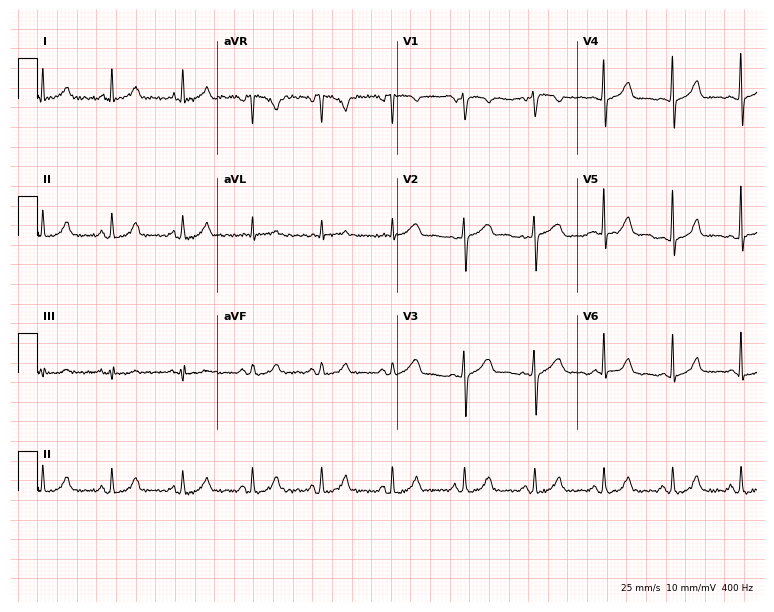
Electrocardiogram (7.3-second recording at 400 Hz), a 48-year-old woman. Overall reading on record: normal ECG.